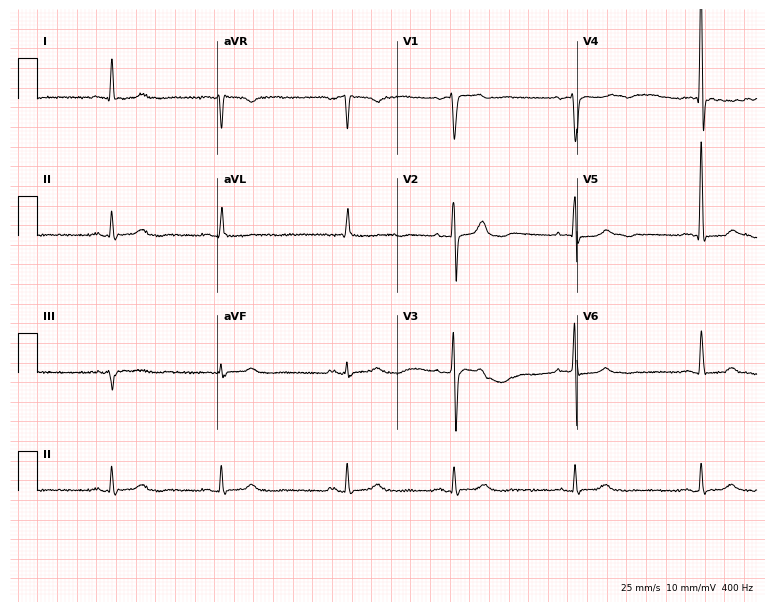
ECG (7.3-second recording at 400 Hz) — a woman, 73 years old. Labelled as a normal ECG.